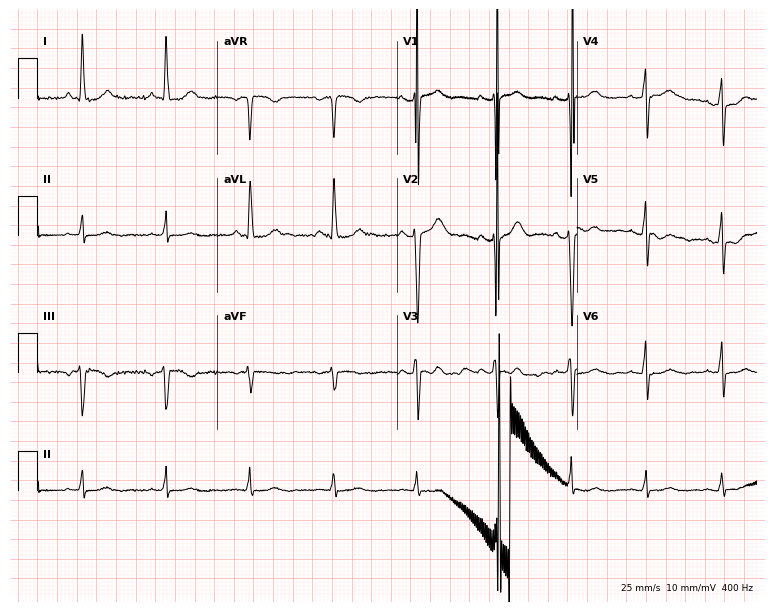
Electrocardiogram (7.3-second recording at 400 Hz), a female patient, 51 years old. Of the six screened findings (first-degree AV block, right bundle branch block, left bundle branch block, sinus bradycardia, atrial fibrillation, sinus tachycardia), none is recorded. Other findings, if any, are not listed.